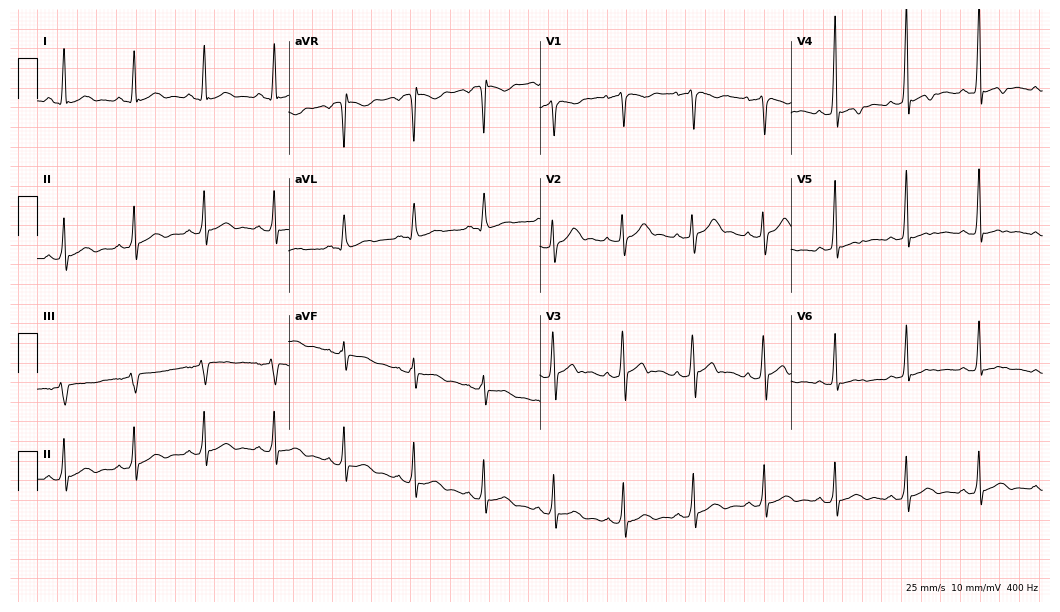
Resting 12-lead electrocardiogram. Patient: a man, 35 years old. None of these six findings is recorded: first-degree AV block, right bundle branch block, left bundle branch block, sinus bradycardia, atrial fibrillation, sinus tachycardia. Findings outside these six are not listed.